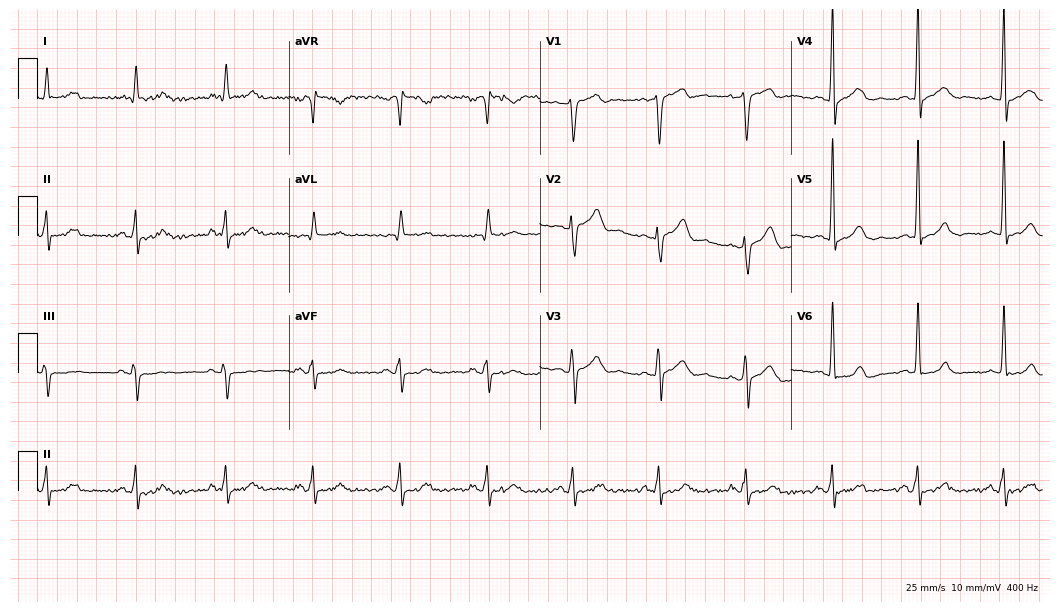
Electrocardiogram (10.2-second recording at 400 Hz), a male patient, 54 years old. Overall reading on record: normal ECG.